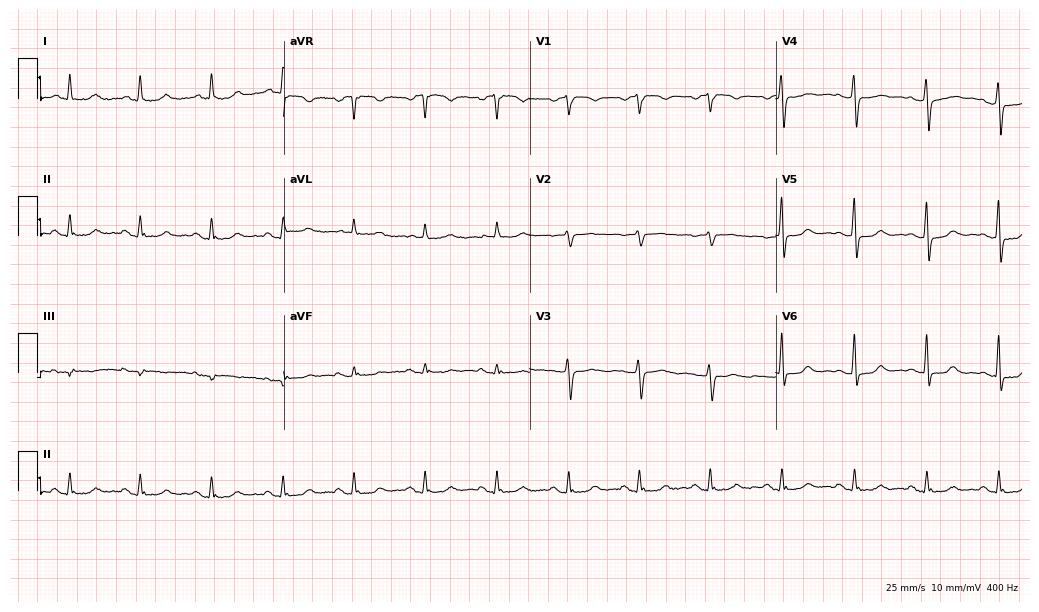
ECG — a 70-year-old woman. Screened for six findings — first-degree AV block, right bundle branch block (RBBB), left bundle branch block (LBBB), sinus bradycardia, atrial fibrillation (AF), sinus tachycardia — none is recorded. Other findings, if any, are not listed.